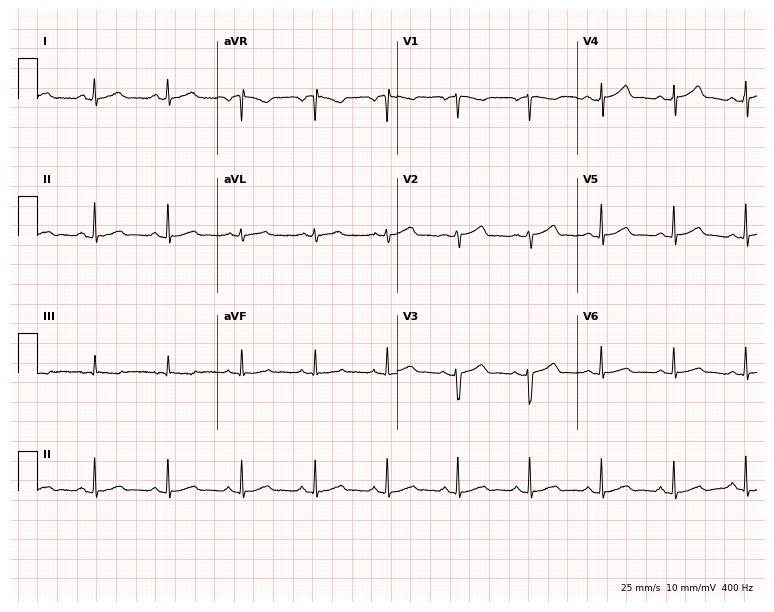
Electrocardiogram (7.3-second recording at 400 Hz), a woman, 61 years old. Overall reading on record: normal ECG.